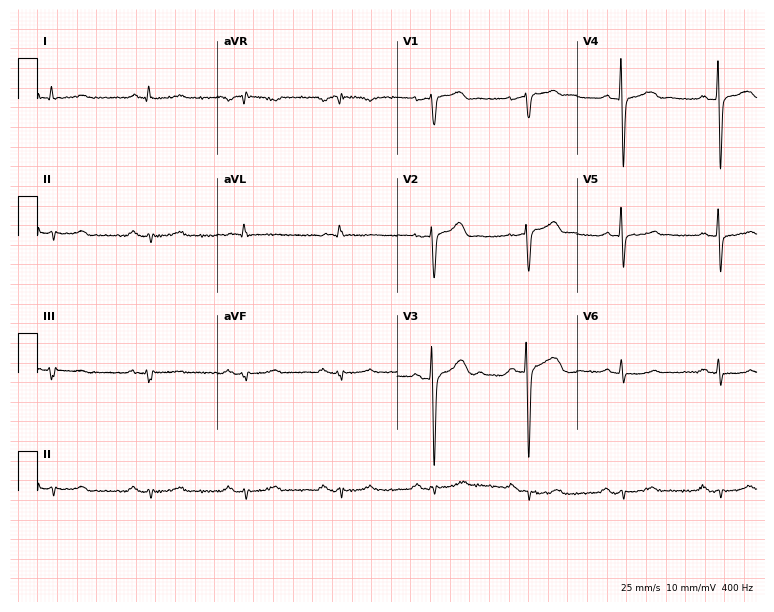
Electrocardiogram (7.3-second recording at 400 Hz), a man, 60 years old. Overall reading on record: normal ECG.